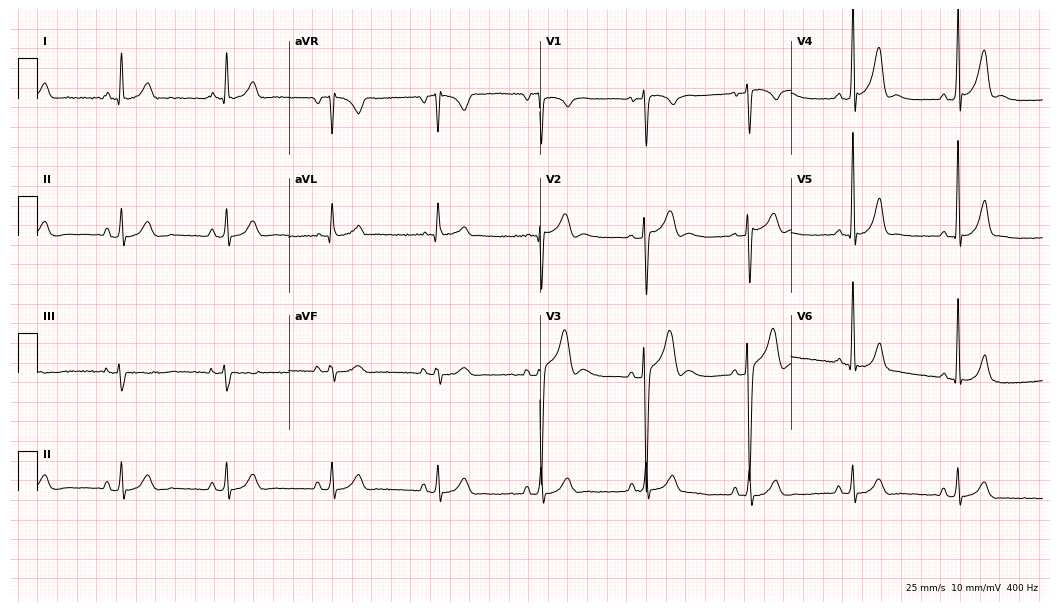
ECG (10.2-second recording at 400 Hz) — a male, 20 years old. Labelled as a normal ECG.